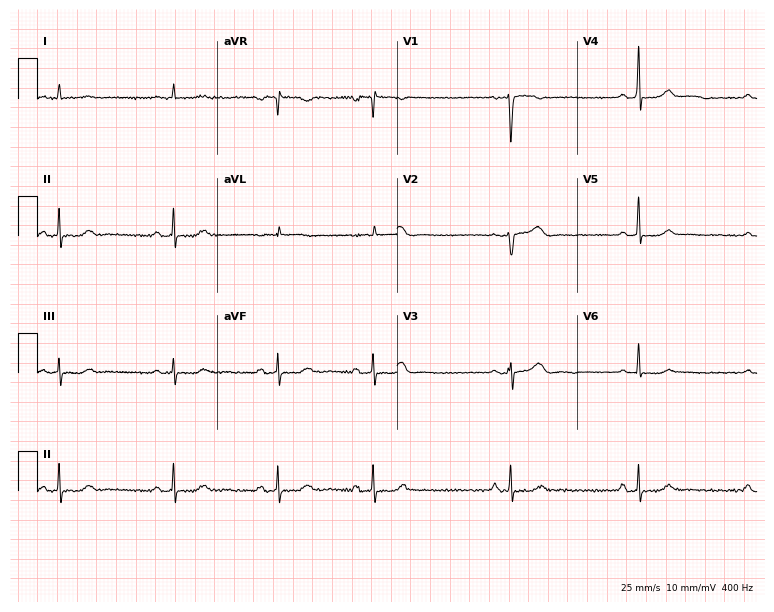
12-lead ECG from a 42-year-old female. Labelled as a normal ECG.